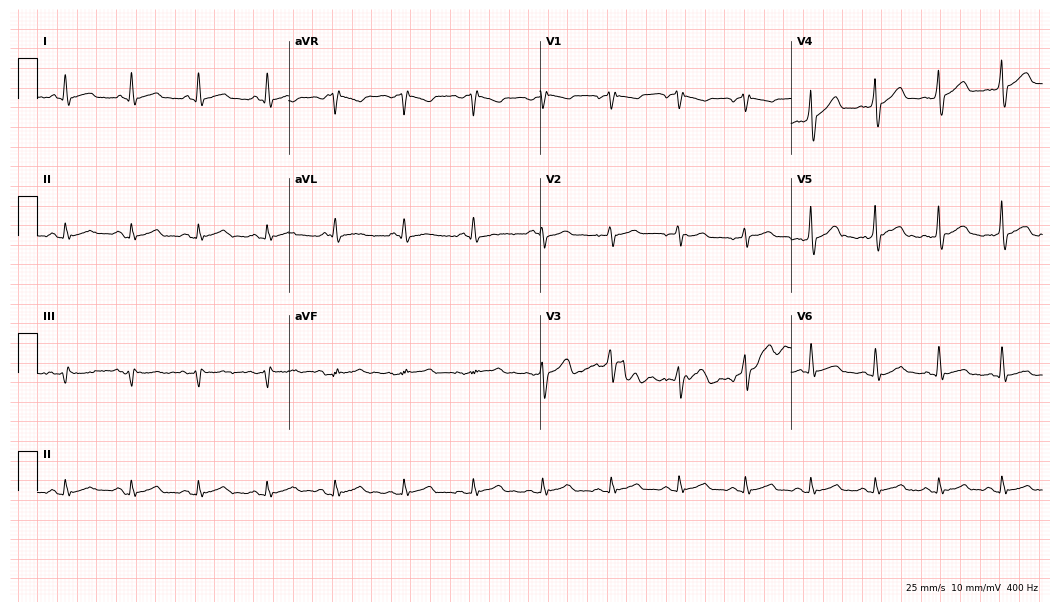
12-lead ECG from a 40-year-old man. No first-degree AV block, right bundle branch block, left bundle branch block, sinus bradycardia, atrial fibrillation or sinus tachycardia recorded for this tracing. Findings outside these six are not listed.